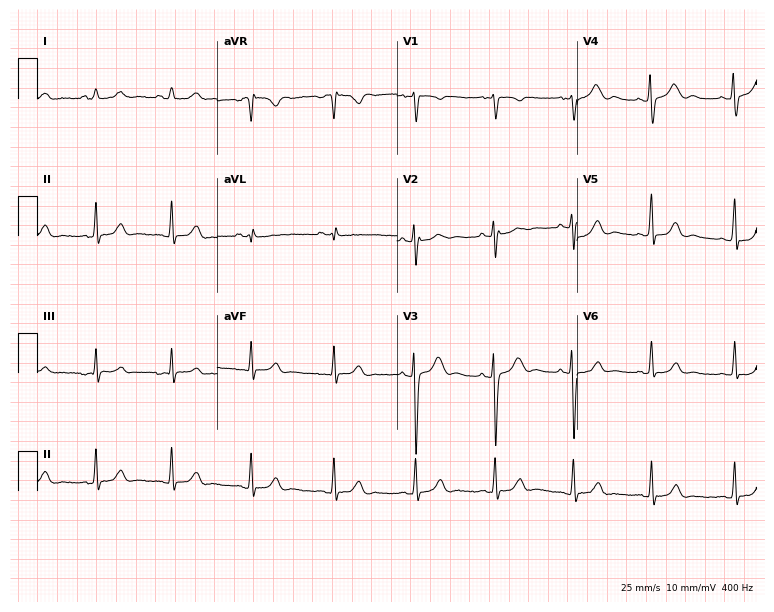
ECG — a woman, 18 years old. Screened for six findings — first-degree AV block, right bundle branch block, left bundle branch block, sinus bradycardia, atrial fibrillation, sinus tachycardia — none is recorded. Only these six findings were labelled.